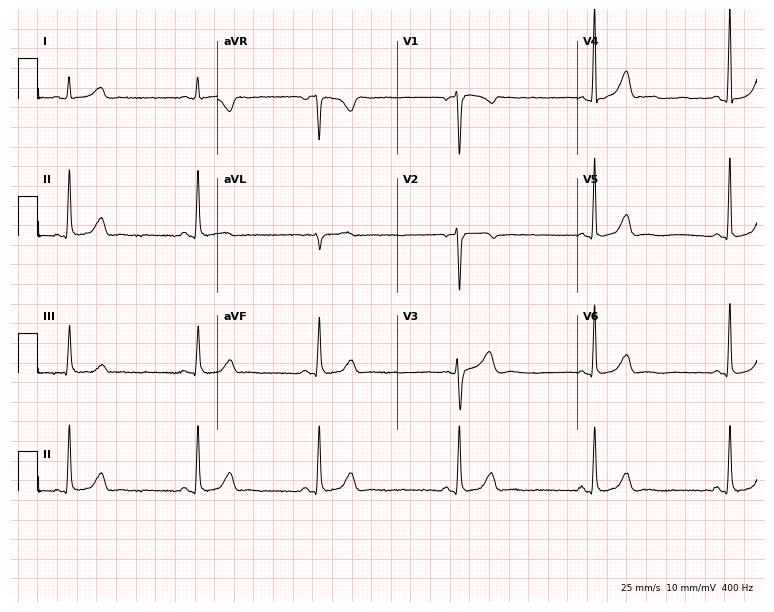
ECG — a woman, 37 years old. Screened for six findings — first-degree AV block, right bundle branch block, left bundle branch block, sinus bradycardia, atrial fibrillation, sinus tachycardia — none is recorded. Findings outside these six are not listed.